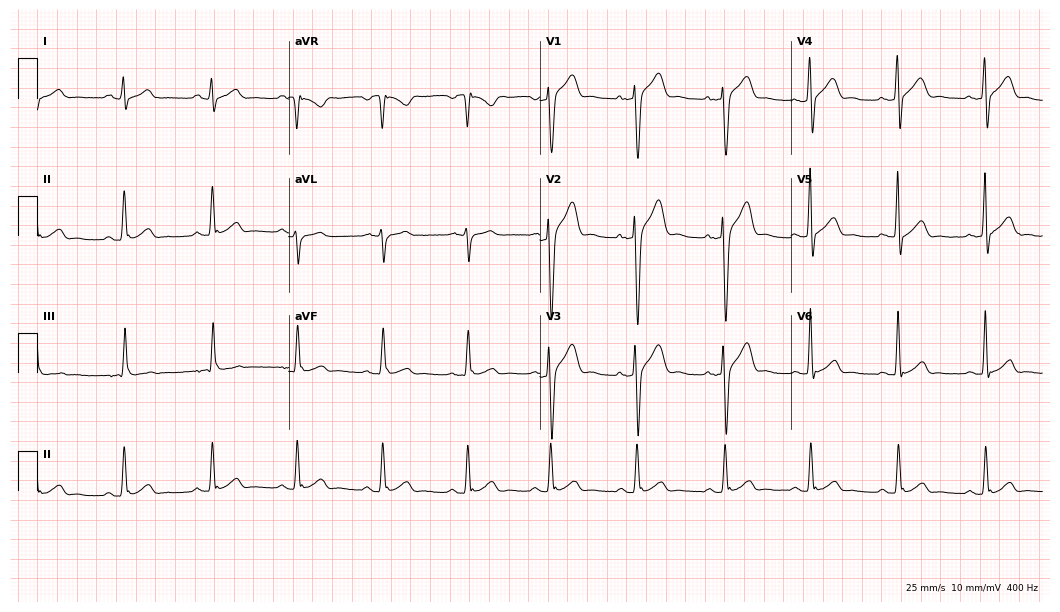
ECG — a male patient, 38 years old. Screened for six findings — first-degree AV block, right bundle branch block, left bundle branch block, sinus bradycardia, atrial fibrillation, sinus tachycardia — none is recorded.